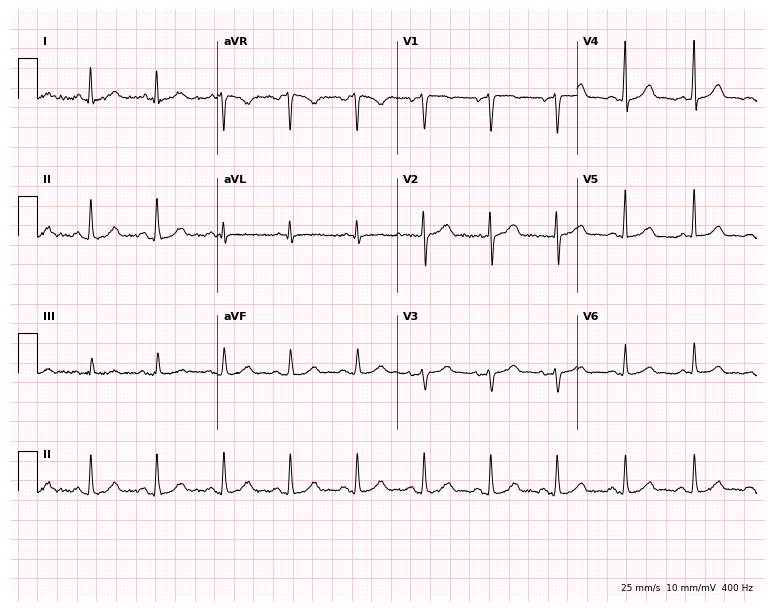
Electrocardiogram, a 52-year-old male. Overall reading on record: normal ECG.